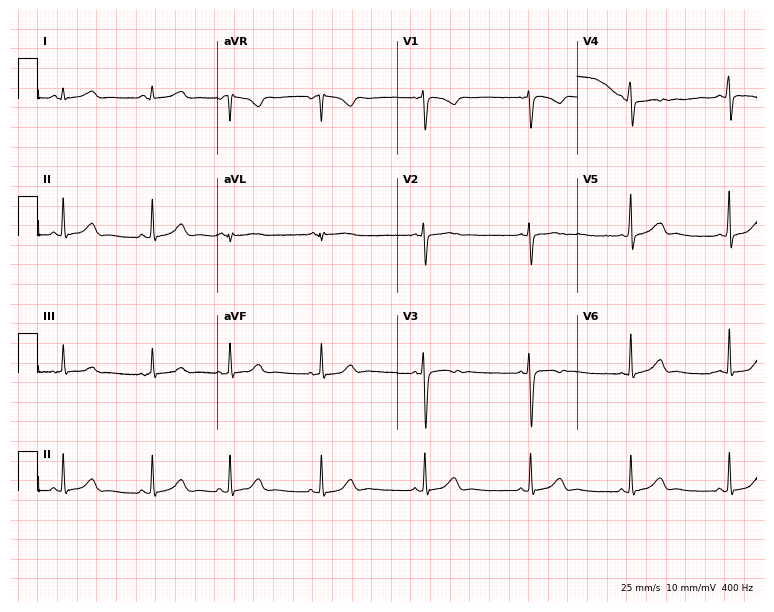
ECG — a female, 19 years old. Labelled as a normal ECG.